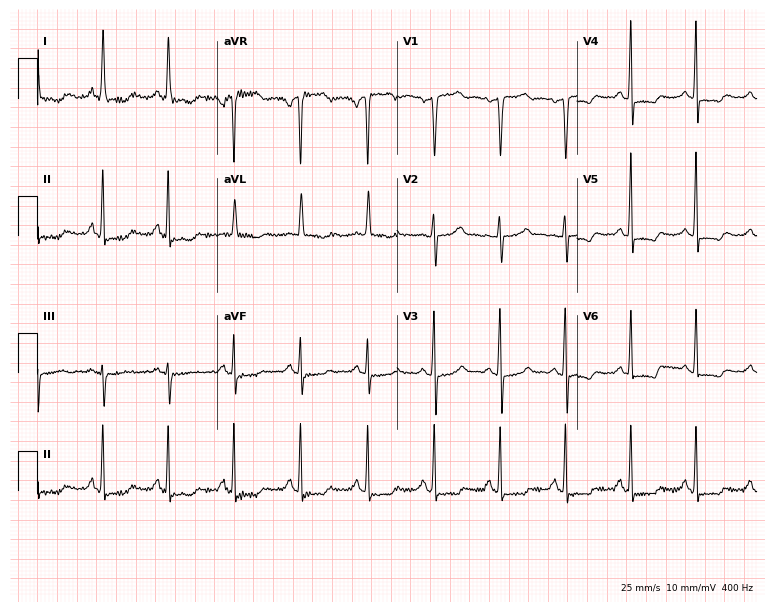
Resting 12-lead electrocardiogram. Patient: a female, 49 years old. None of these six findings is recorded: first-degree AV block, right bundle branch block, left bundle branch block, sinus bradycardia, atrial fibrillation, sinus tachycardia. Other findings, if any, are not listed.